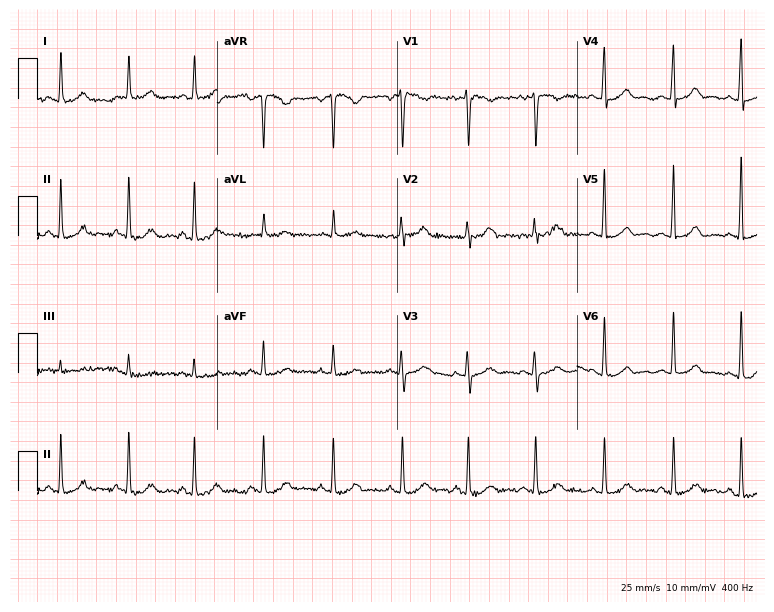
12-lead ECG (7.3-second recording at 400 Hz) from a woman, 46 years old. Screened for six findings — first-degree AV block, right bundle branch block (RBBB), left bundle branch block (LBBB), sinus bradycardia, atrial fibrillation (AF), sinus tachycardia — none is recorded.